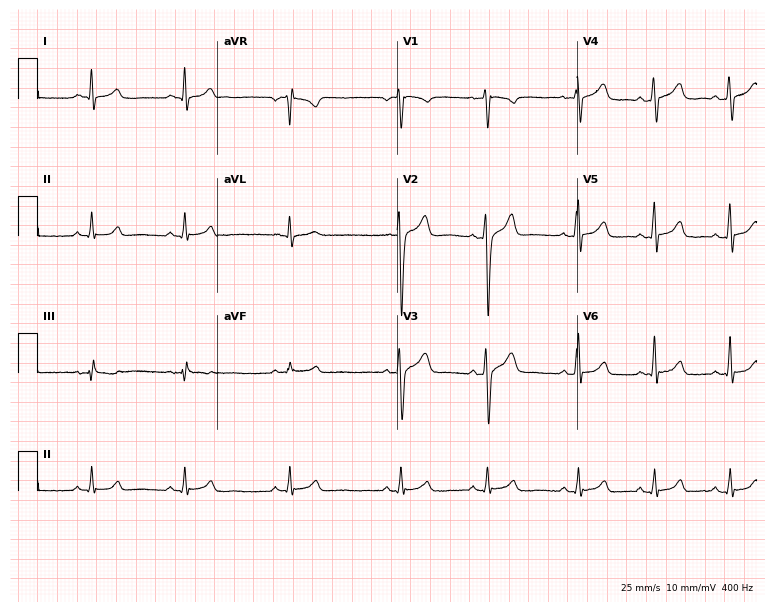
Electrocardiogram, a man, 19 years old. Overall reading on record: normal ECG.